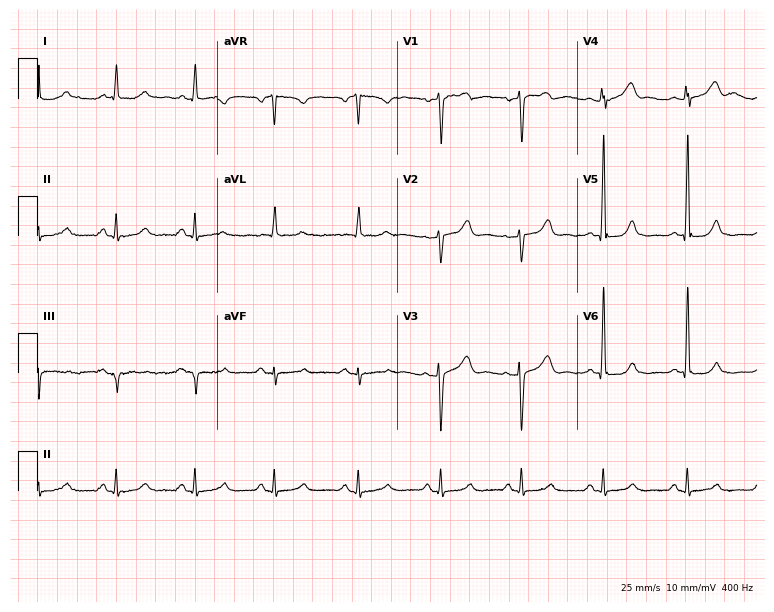
12-lead ECG from a female patient, 56 years old. Labelled as a normal ECG.